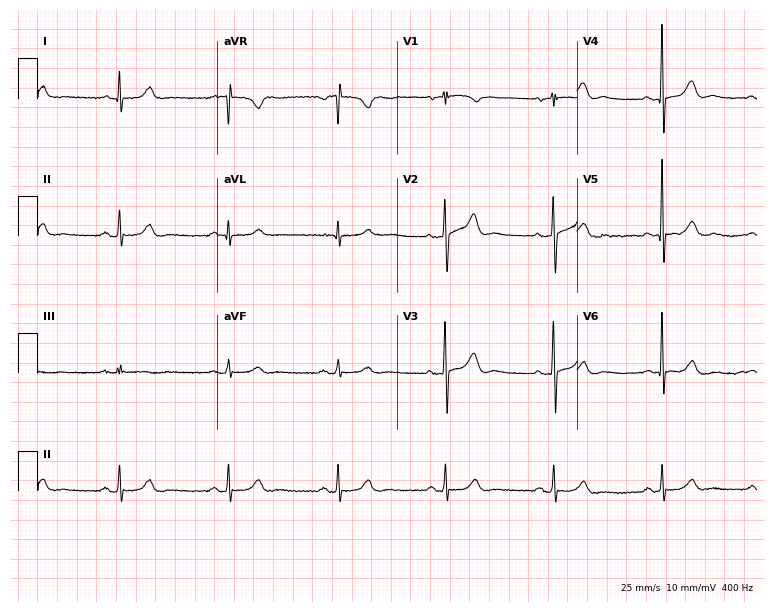
Standard 12-lead ECG recorded from a 79-year-old woman. None of these six findings is recorded: first-degree AV block, right bundle branch block, left bundle branch block, sinus bradycardia, atrial fibrillation, sinus tachycardia. Only these six findings were labelled.